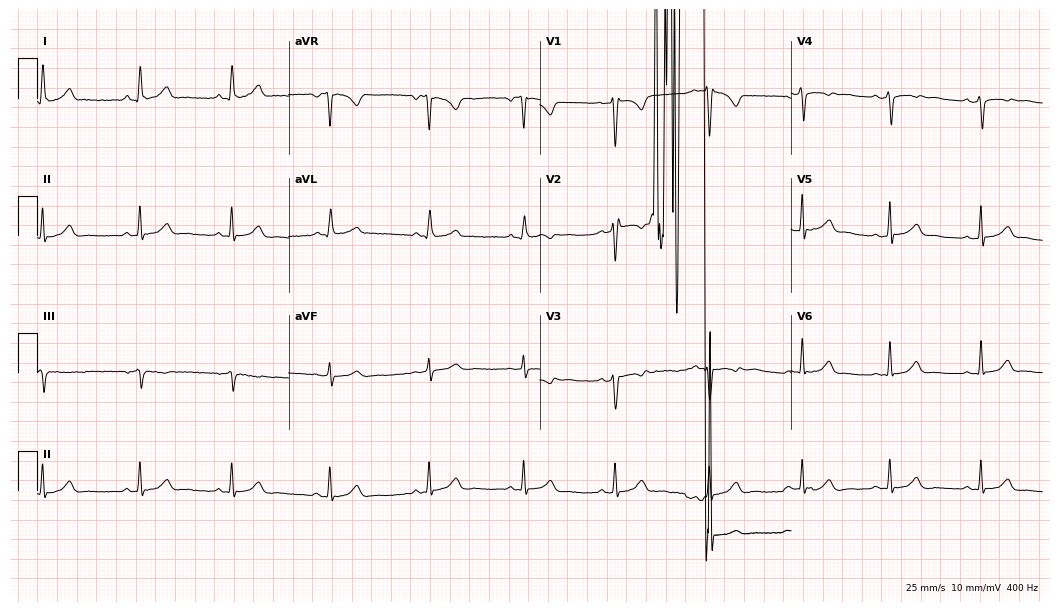
Resting 12-lead electrocardiogram (10.2-second recording at 400 Hz). Patient: a female, 23 years old. Read as a normal ECG.